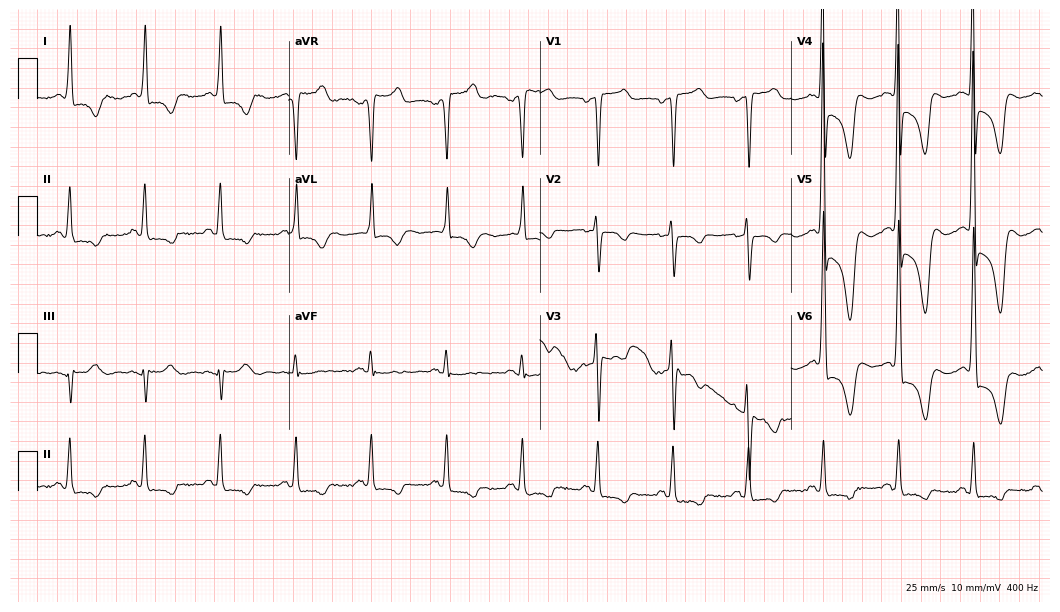
Electrocardiogram, a 71-year-old female patient. Of the six screened findings (first-degree AV block, right bundle branch block, left bundle branch block, sinus bradycardia, atrial fibrillation, sinus tachycardia), none is recorded. Other findings, if any, are not listed.